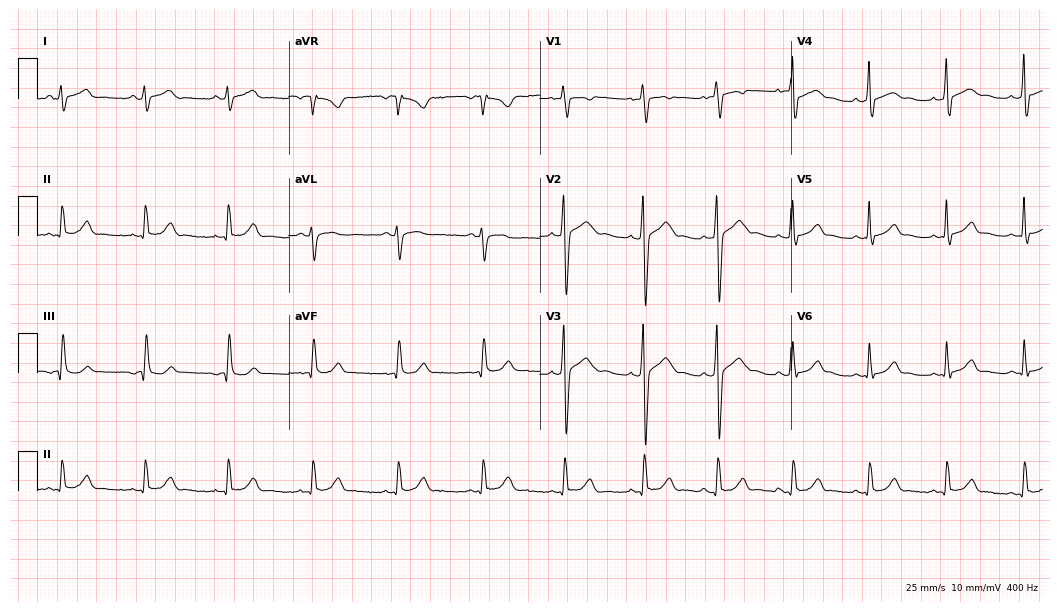
12-lead ECG (10.2-second recording at 400 Hz) from a 21-year-old female. Labelled as a normal ECG.